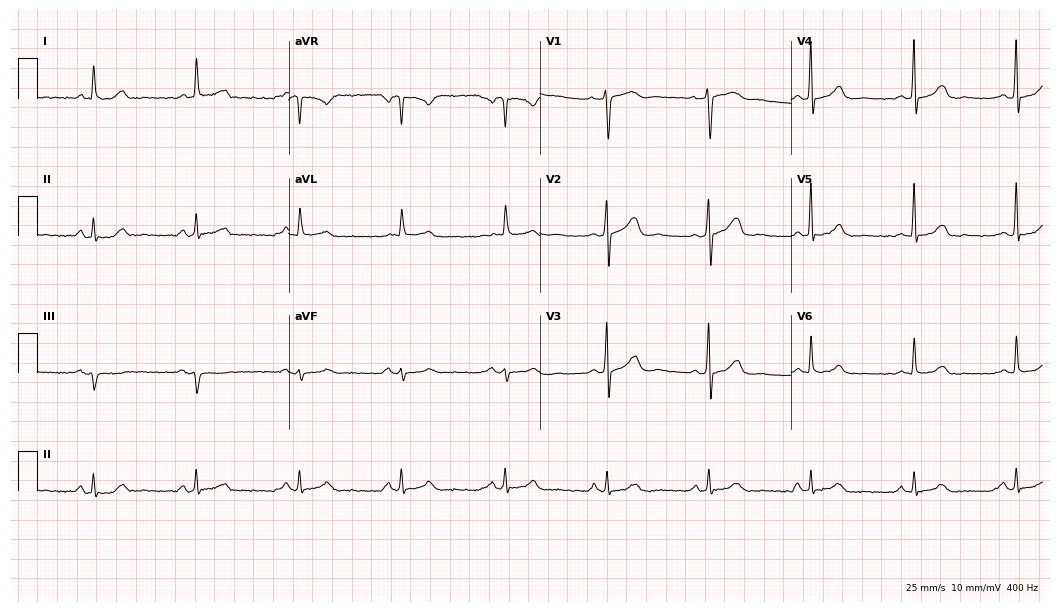
12-lead ECG from a 50-year-old woman. No first-degree AV block, right bundle branch block, left bundle branch block, sinus bradycardia, atrial fibrillation or sinus tachycardia recorded for this tracing. Findings outside these six are not listed.